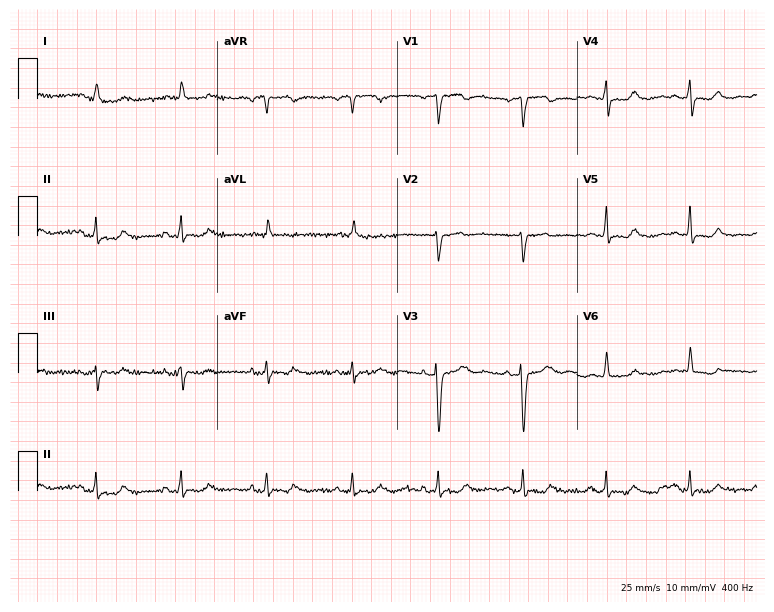
Resting 12-lead electrocardiogram. Patient: a woman, 76 years old. Read as a normal ECG.